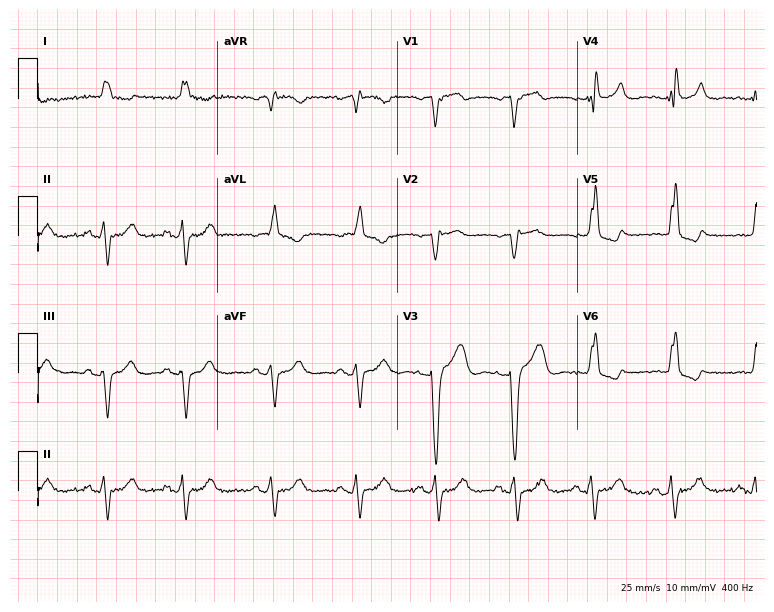
12-lead ECG from an 83-year-old man. Shows left bundle branch block.